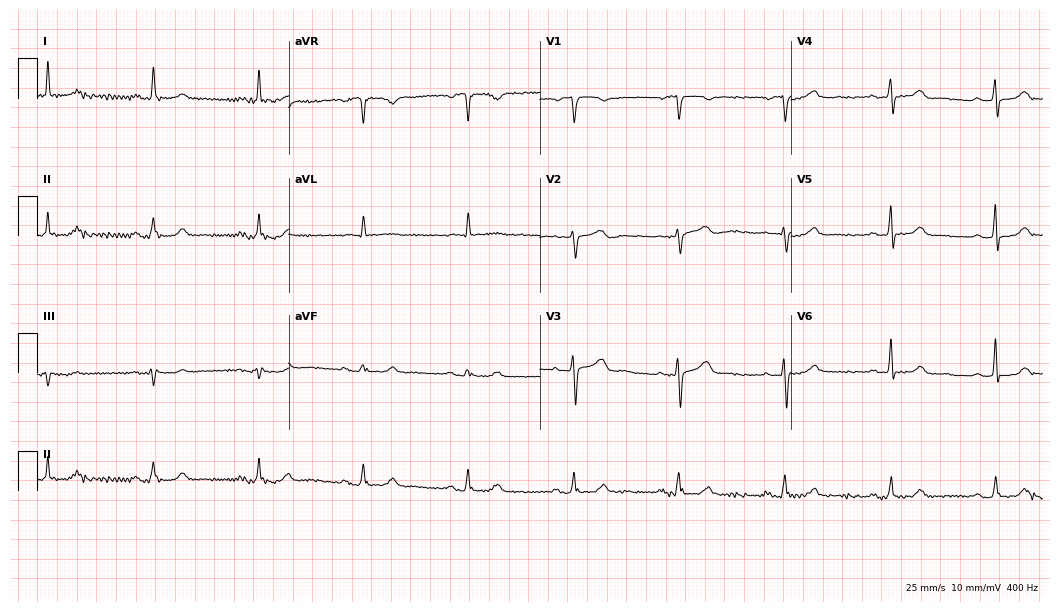
12-lead ECG (10.2-second recording at 400 Hz) from a 72-year-old woman. Labelled as a normal ECG.